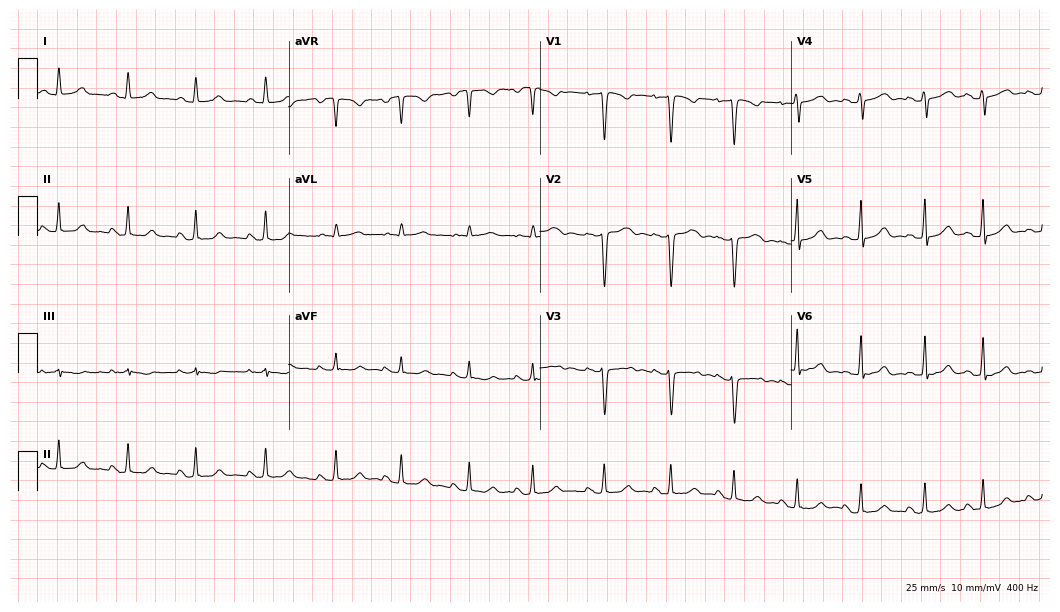
Standard 12-lead ECG recorded from a 34-year-old female patient (10.2-second recording at 400 Hz). None of these six findings is recorded: first-degree AV block, right bundle branch block (RBBB), left bundle branch block (LBBB), sinus bradycardia, atrial fibrillation (AF), sinus tachycardia.